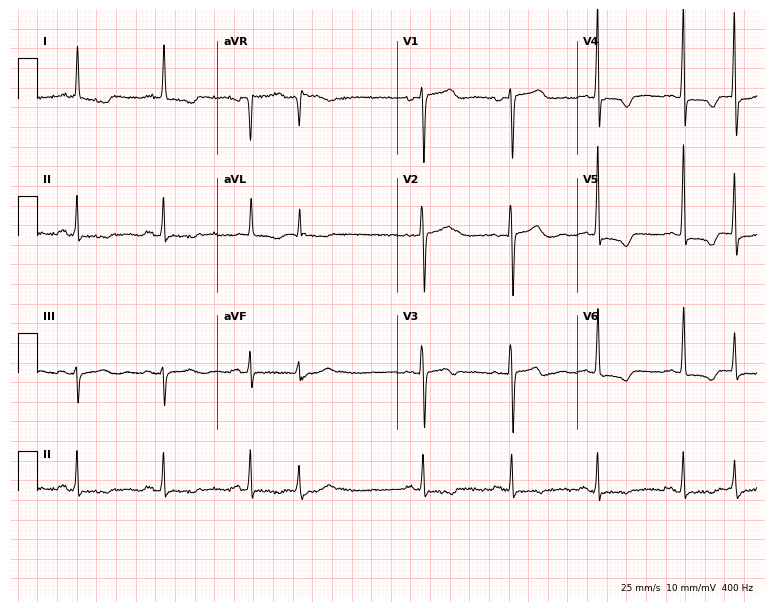
Electrocardiogram (7.3-second recording at 400 Hz), a 79-year-old female. Of the six screened findings (first-degree AV block, right bundle branch block, left bundle branch block, sinus bradycardia, atrial fibrillation, sinus tachycardia), none is recorded. Only these six findings were labelled.